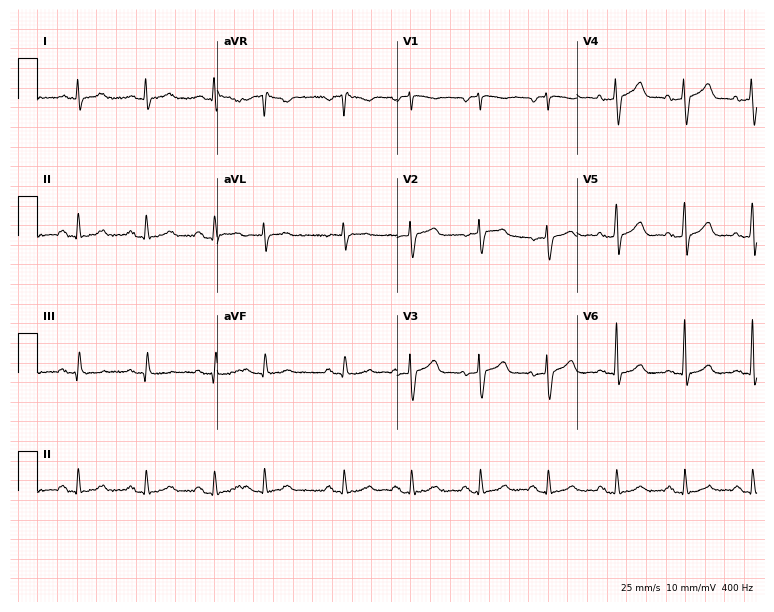
Resting 12-lead electrocardiogram. Patient: a man, 77 years old. None of these six findings is recorded: first-degree AV block, right bundle branch block, left bundle branch block, sinus bradycardia, atrial fibrillation, sinus tachycardia.